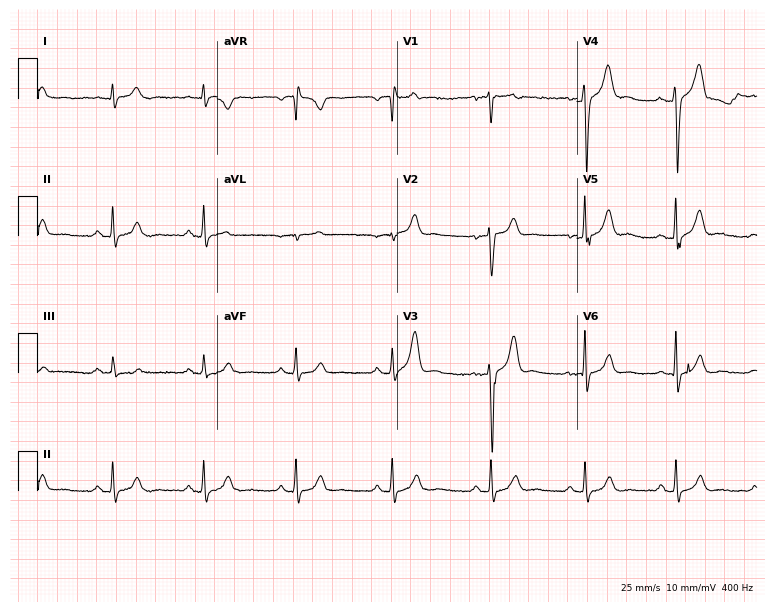
Standard 12-lead ECG recorded from a male, 27 years old. Read as a normal ECG.